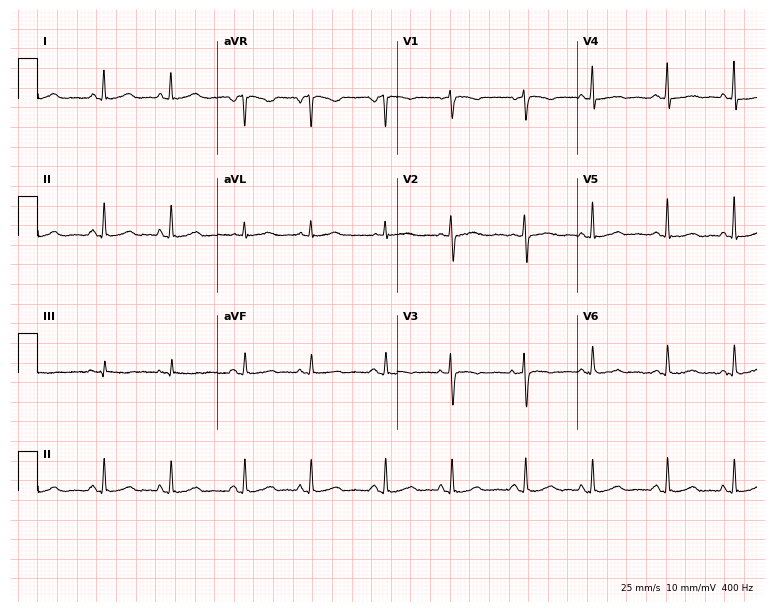
Standard 12-lead ECG recorded from a 56-year-old woman. Read as a normal ECG.